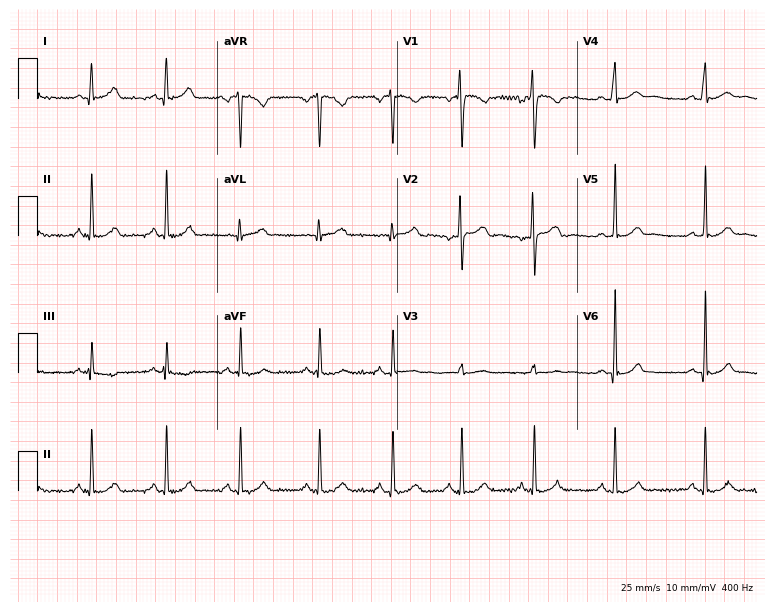
Standard 12-lead ECG recorded from a female, 27 years old. Read as a normal ECG.